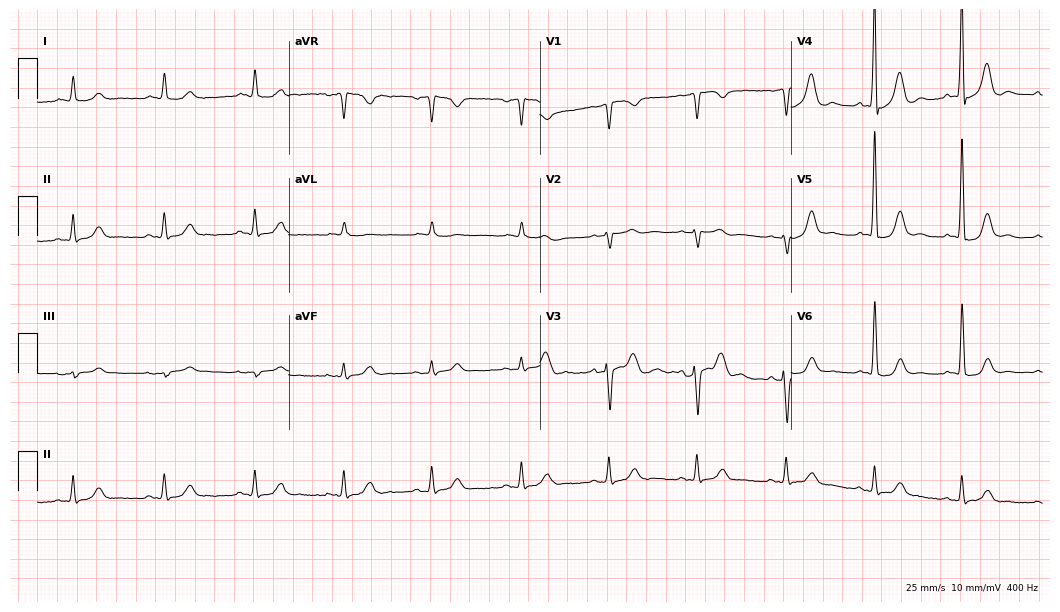
ECG (10.2-second recording at 400 Hz) — a man, 74 years old. Labelled as a normal ECG.